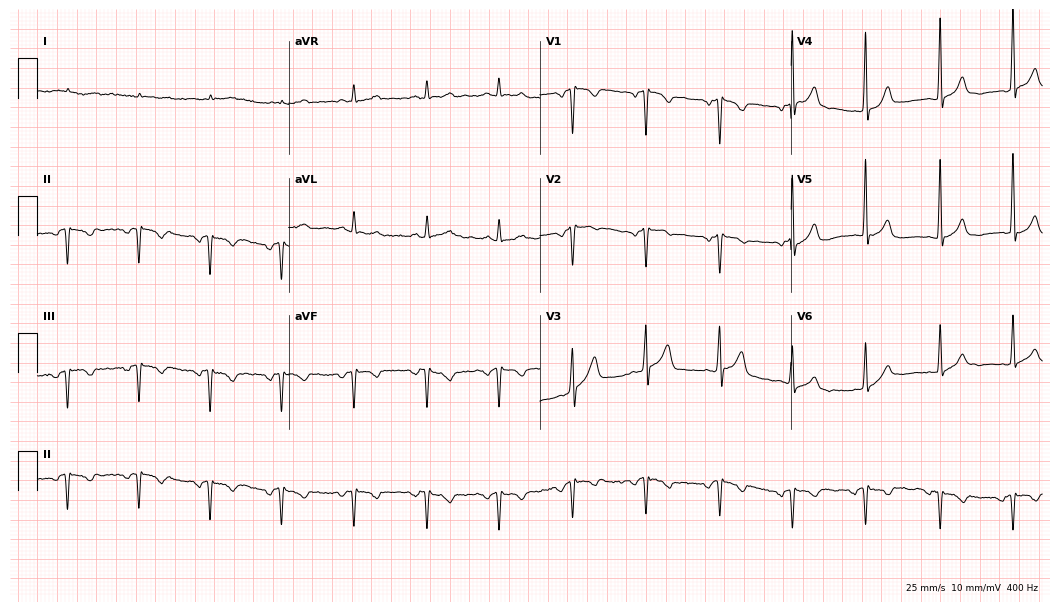
12-lead ECG from a female, 84 years old. Screened for six findings — first-degree AV block, right bundle branch block, left bundle branch block, sinus bradycardia, atrial fibrillation, sinus tachycardia — none is recorded.